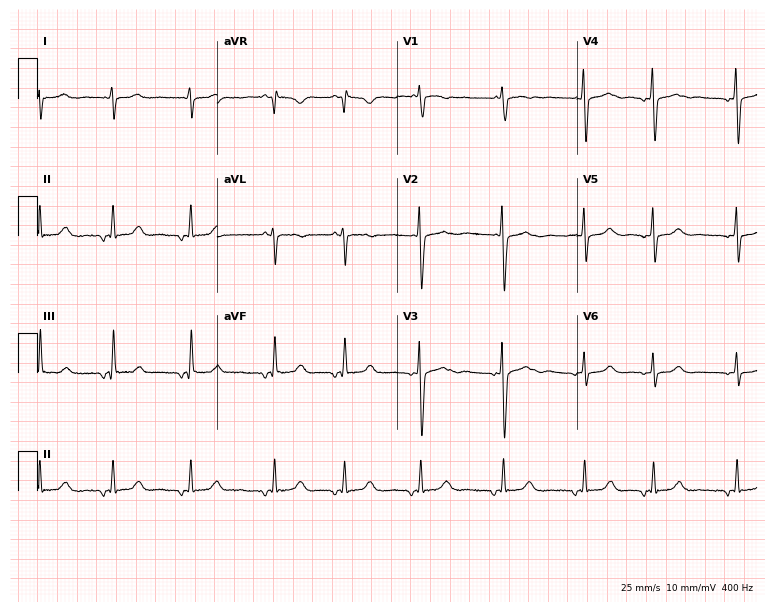
Electrocardiogram, a female, 17 years old. Of the six screened findings (first-degree AV block, right bundle branch block, left bundle branch block, sinus bradycardia, atrial fibrillation, sinus tachycardia), none is recorded. Only these six findings were labelled.